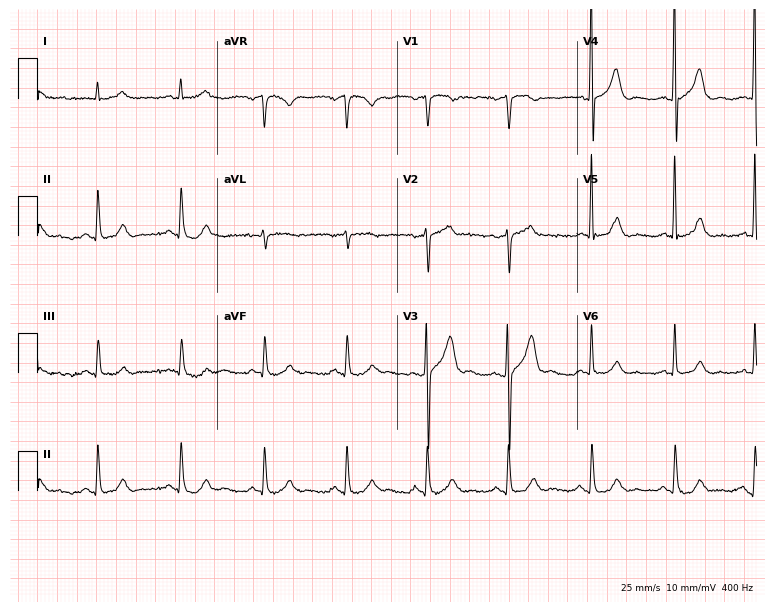
Electrocardiogram, a male patient, 72 years old. Overall reading on record: normal ECG.